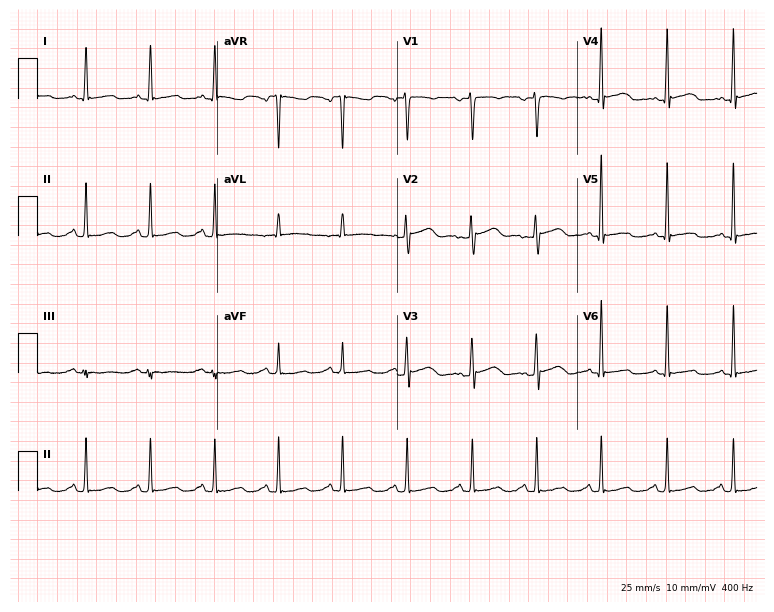
12-lead ECG from a 44-year-old female patient. Screened for six findings — first-degree AV block, right bundle branch block, left bundle branch block, sinus bradycardia, atrial fibrillation, sinus tachycardia — none is recorded.